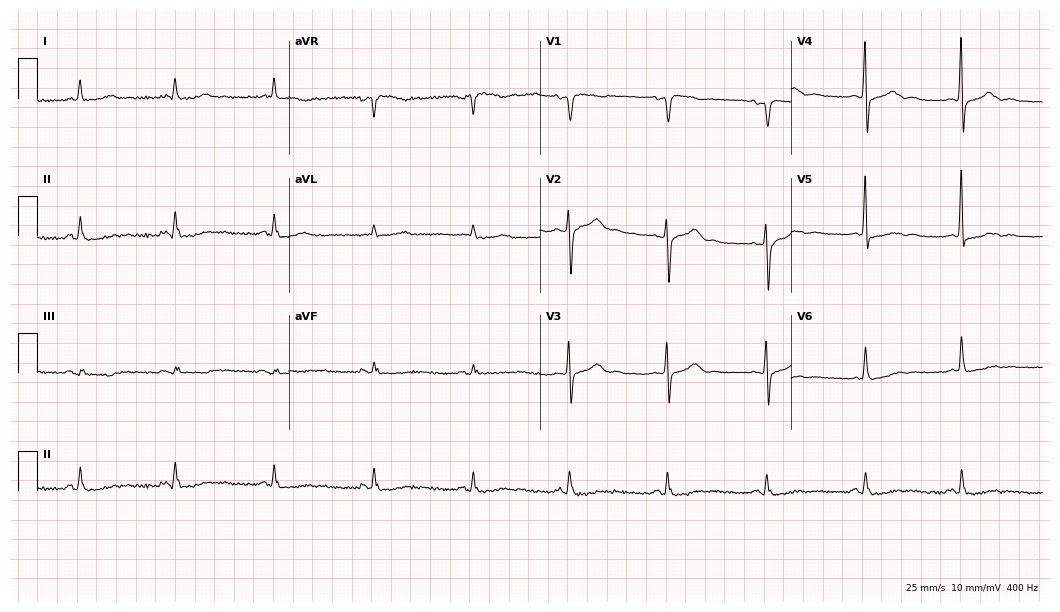
12-lead ECG from a 72-year-old woman. No first-degree AV block, right bundle branch block, left bundle branch block, sinus bradycardia, atrial fibrillation or sinus tachycardia recorded for this tracing.